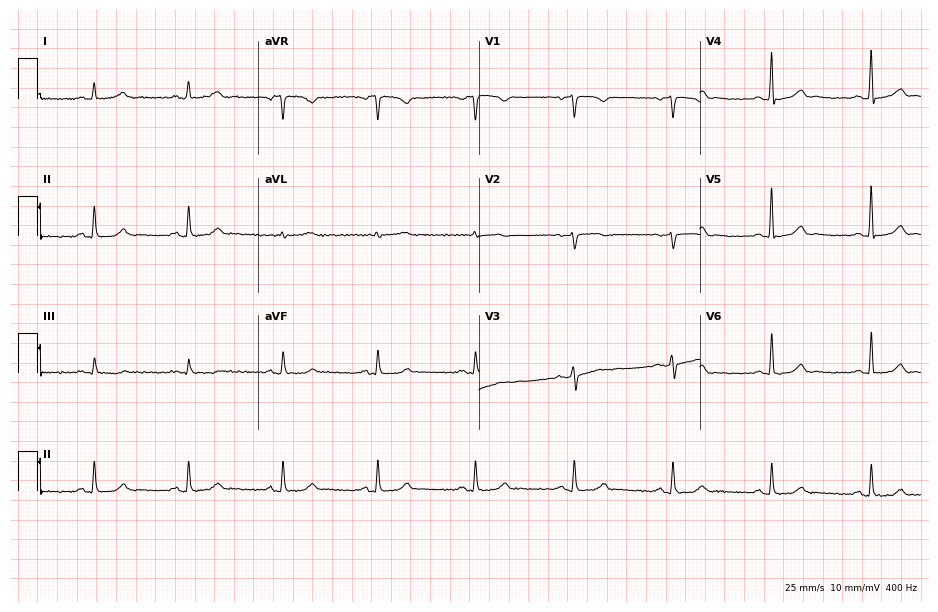
Standard 12-lead ECG recorded from a 71-year-old woman (9-second recording at 400 Hz). None of these six findings is recorded: first-degree AV block, right bundle branch block, left bundle branch block, sinus bradycardia, atrial fibrillation, sinus tachycardia.